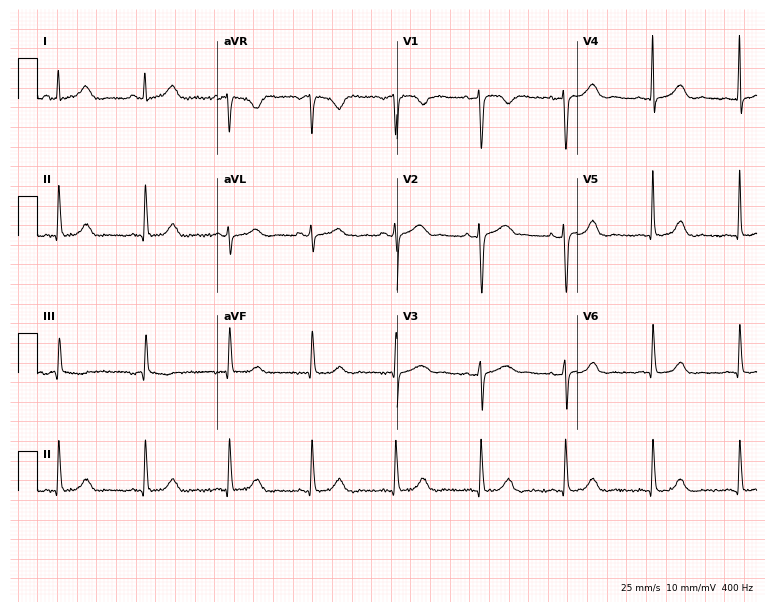
12-lead ECG (7.3-second recording at 400 Hz) from a 38-year-old female. Labelled as a normal ECG.